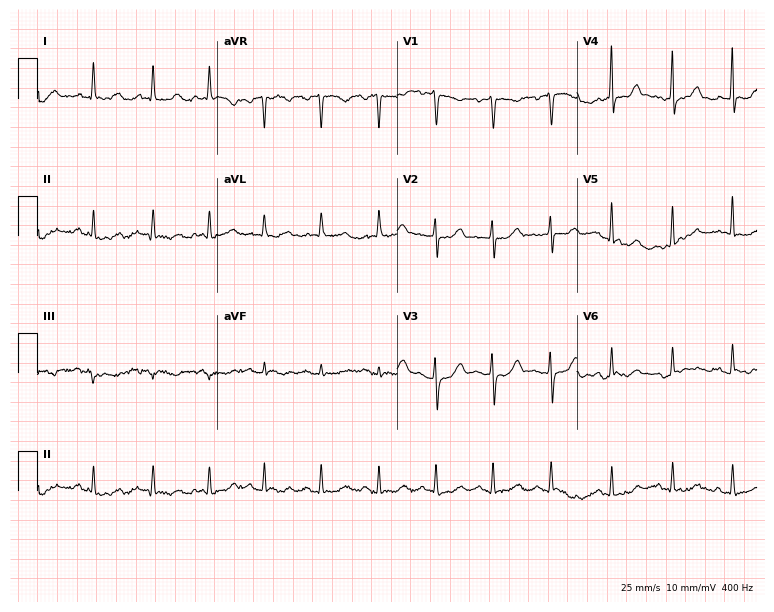
Standard 12-lead ECG recorded from a female patient, 40 years old. The tracing shows sinus tachycardia (a sinus rate of 100 beats per minute or more).